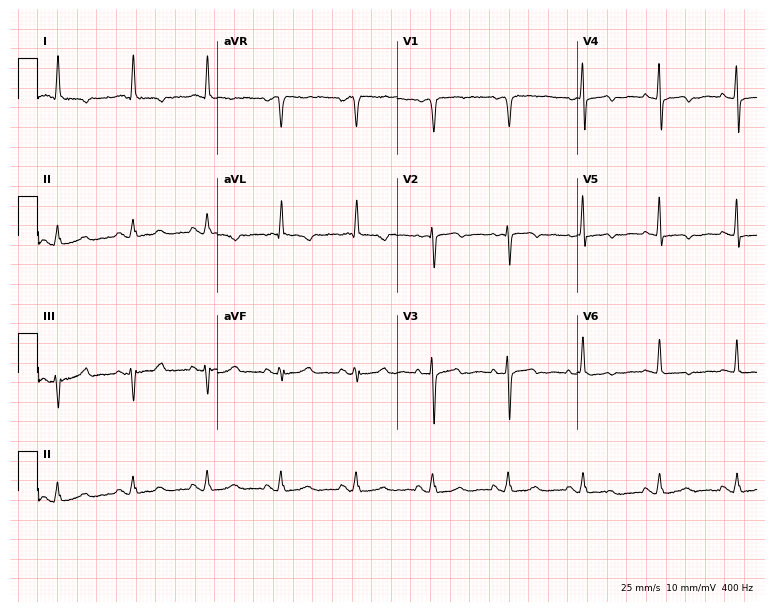
ECG — a 73-year-old woman. Screened for six findings — first-degree AV block, right bundle branch block, left bundle branch block, sinus bradycardia, atrial fibrillation, sinus tachycardia — none is recorded.